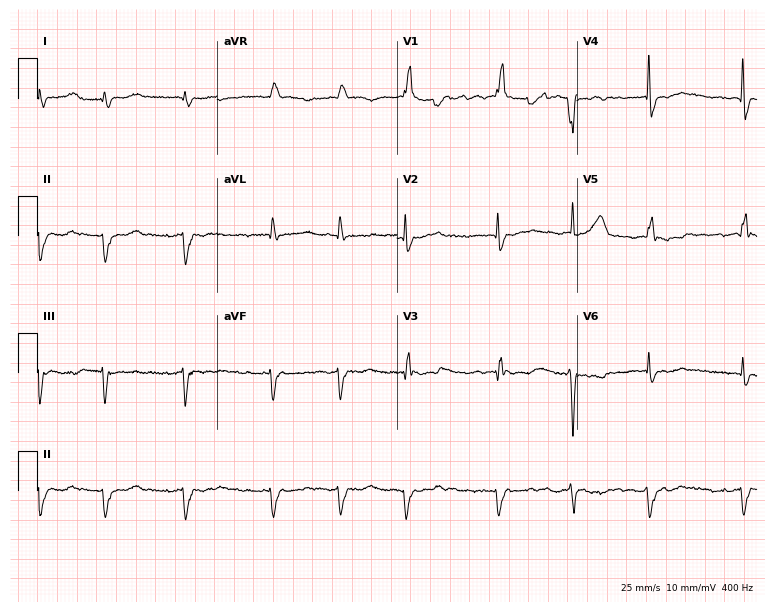
12-lead ECG from a 75-year-old male. Findings include right bundle branch block, atrial fibrillation.